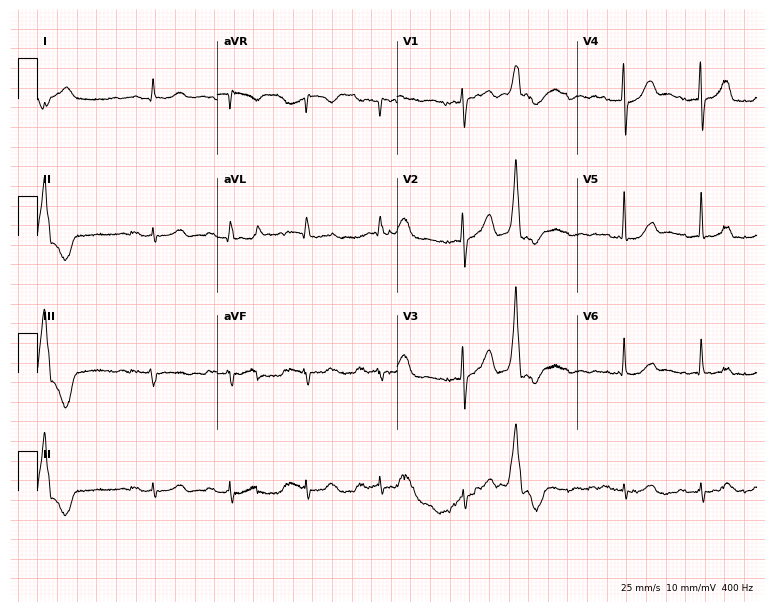
12-lead ECG from a woman, 85 years old (7.3-second recording at 400 Hz). Shows first-degree AV block.